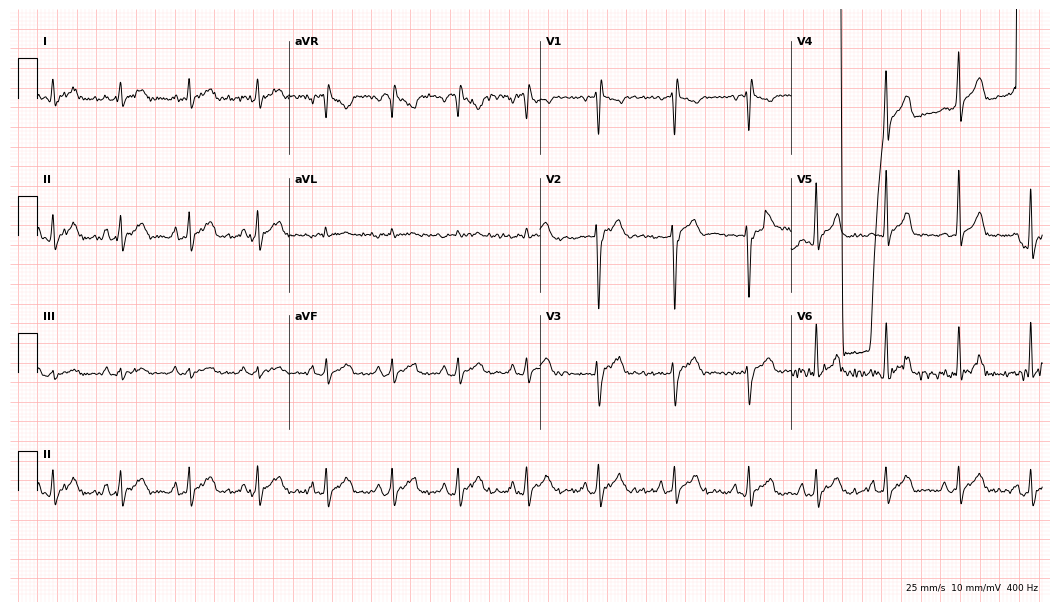
ECG (10.2-second recording at 400 Hz) — a 21-year-old man. Labelled as a normal ECG.